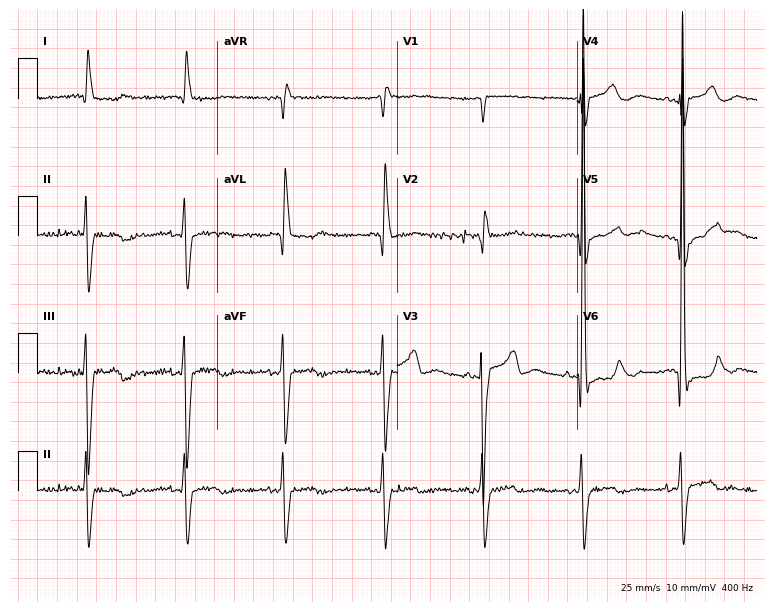
12-lead ECG from an 84-year-old man. Screened for six findings — first-degree AV block, right bundle branch block, left bundle branch block, sinus bradycardia, atrial fibrillation, sinus tachycardia — none is recorded. Findings outside these six are not listed.